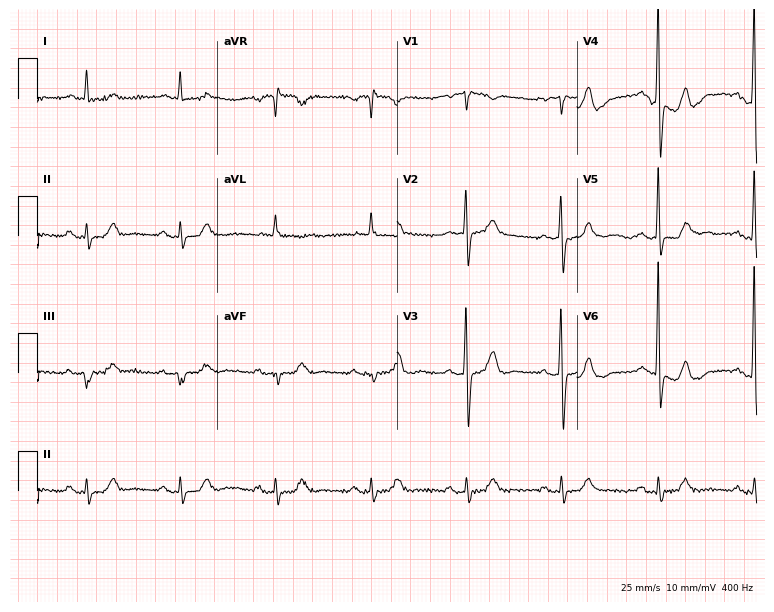
12-lead ECG (7.3-second recording at 400 Hz) from a male patient, 76 years old. Screened for six findings — first-degree AV block, right bundle branch block (RBBB), left bundle branch block (LBBB), sinus bradycardia, atrial fibrillation (AF), sinus tachycardia — none is recorded.